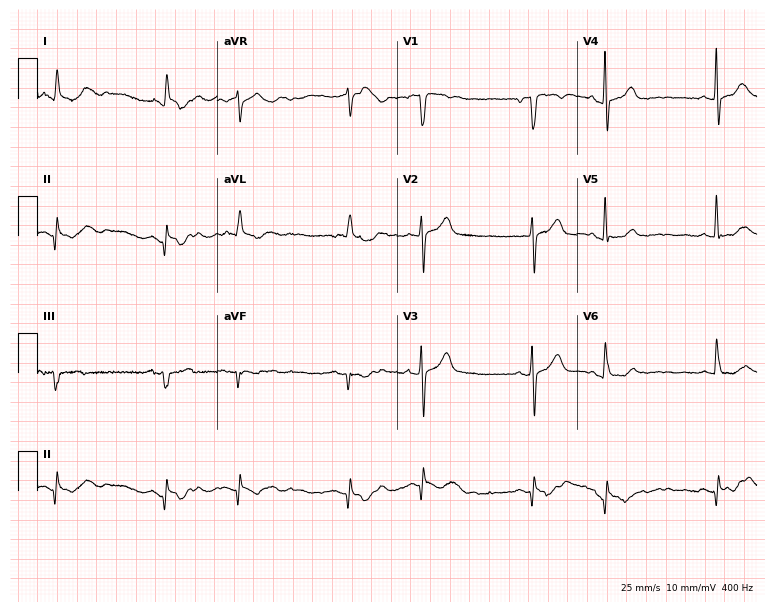
ECG (7.3-second recording at 400 Hz) — a male patient, 75 years old. Screened for six findings — first-degree AV block, right bundle branch block, left bundle branch block, sinus bradycardia, atrial fibrillation, sinus tachycardia — none is recorded.